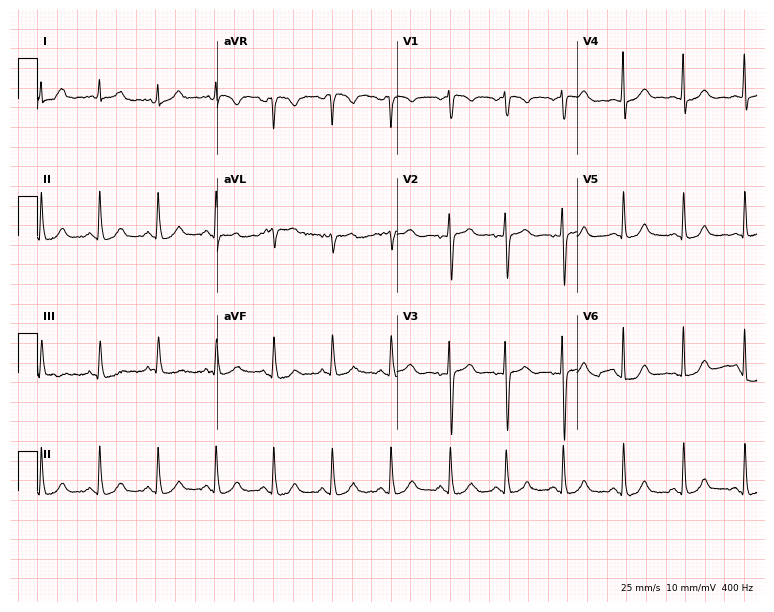
Electrocardiogram (7.3-second recording at 400 Hz), a female, 17 years old. Overall reading on record: normal ECG.